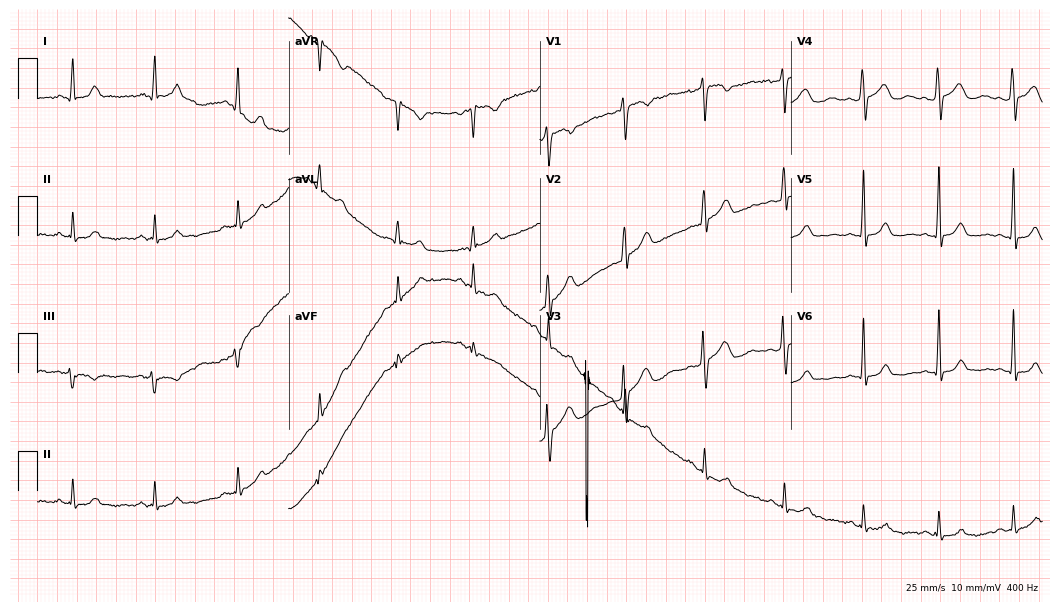
Electrocardiogram, a woman, 43 years old. Overall reading on record: normal ECG.